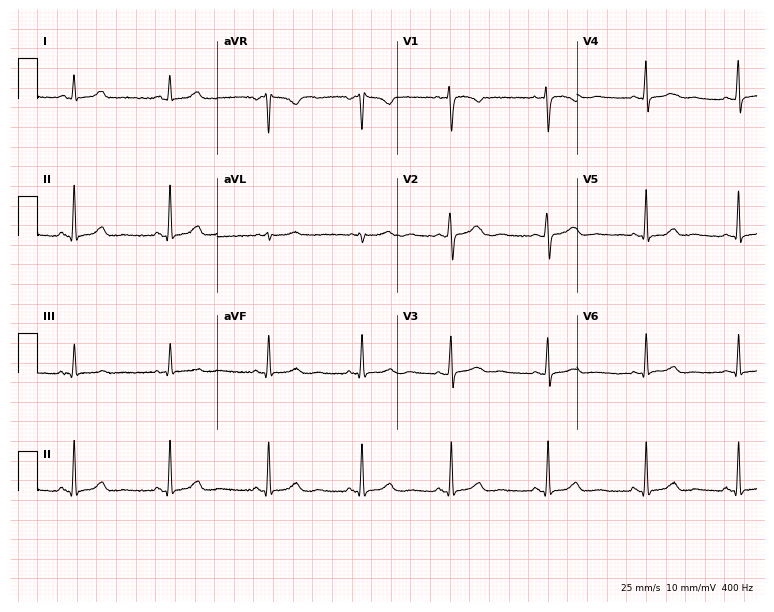
ECG (7.3-second recording at 400 Hz) — a 37-year-old female patient. Screened for six findings — first-degree AV block, right bundle branch block, left bundle branch block, sinus bradycardia, atrial fibrillation, sinus tachycardia — none is recorded.